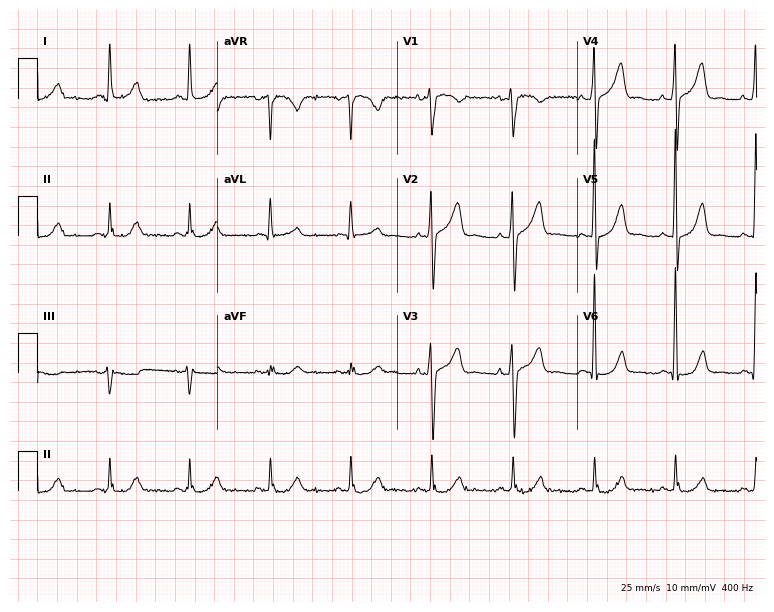
ECG — a male patient, 59 years old. Labelled as a normal ECG.